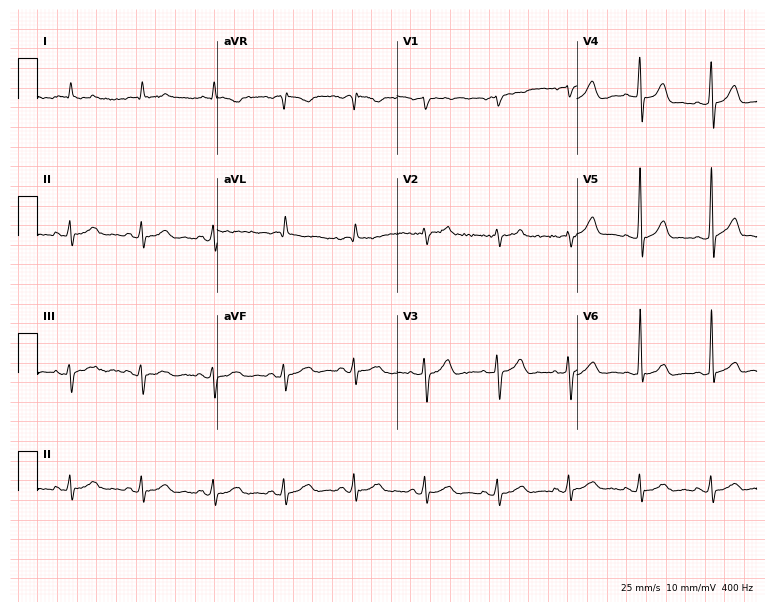
ECG — a male patient, 73 years old. Screened for six findings — first-degree AV block, right bundle branch block, left bundle branch block, sinus bradycardia, atrial fibrillation, sinus tachycardia — none is recorded.